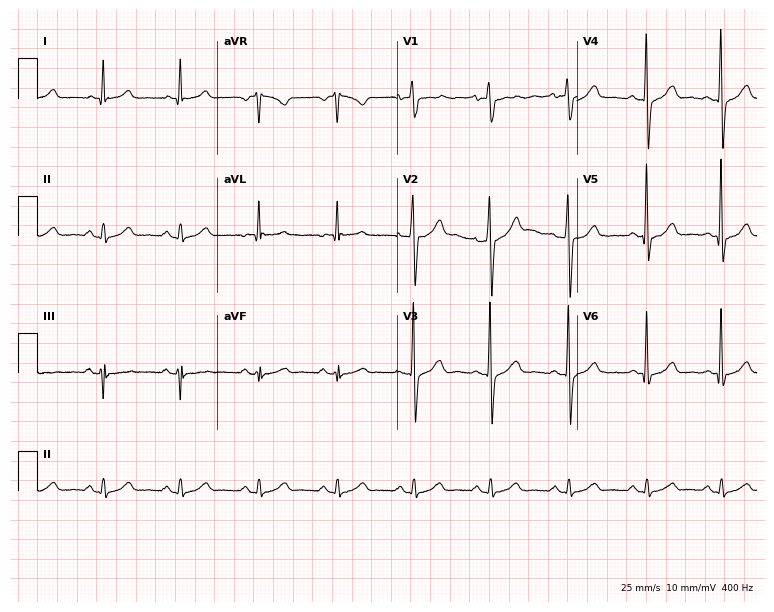
Electrocardiogram (7.3-second recording at 400 Hz), a male, 39 years old. Of the six screened findings (first-degree AV block, right bundle branch block, left bundle branch block, sinus bradycardia, atrial fibrillation, sinus tachycardia), none is recorded. Other findings, if any, are not listed.